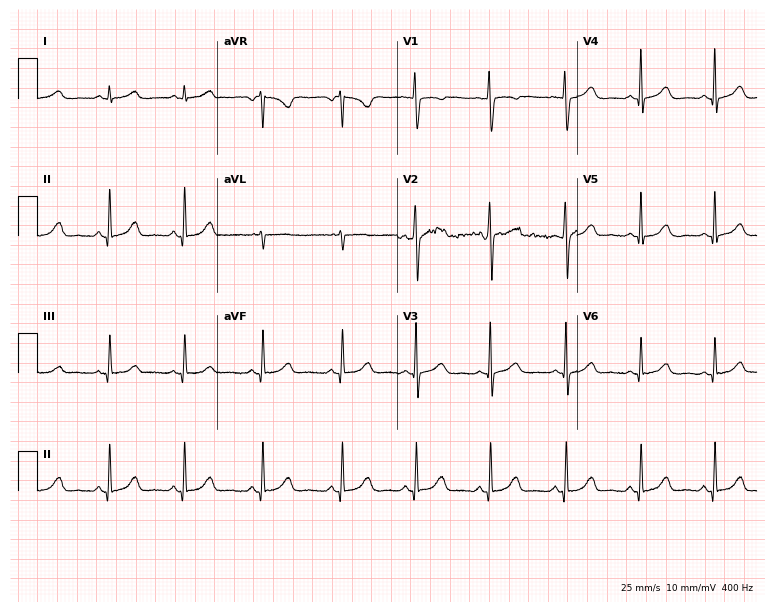
Resting 12-lead electrocardiogram (7.3-second recording at 400 Hz). Patient: a female, 40 years old. Read as a normal ECG.